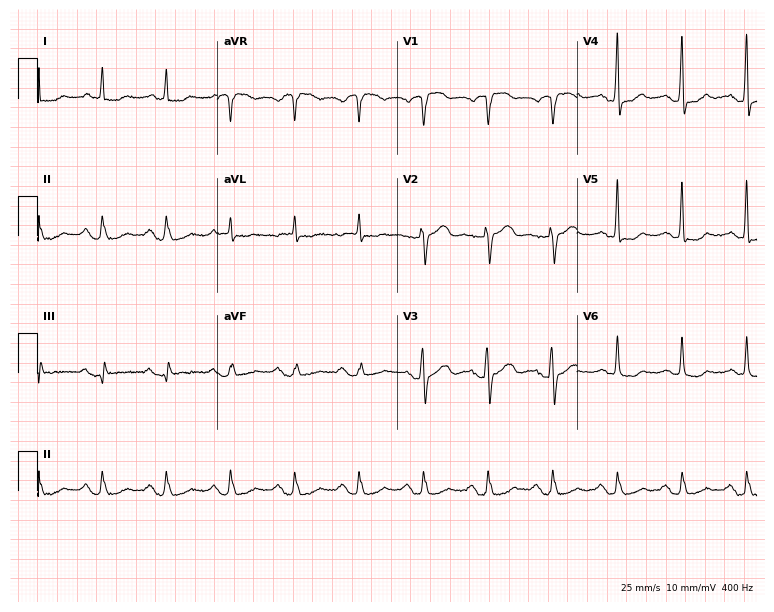
Standard 12-lead ECG recorded from a man, 77 years old. None of these six findings is recorded: first-degree AV block, right bundle branch block (RBBB), left bundle branch block (LBBB), sinus bradycardia, atrial fibrillation (AF), sinus tachycardia. Other findings, if any, are not listed.